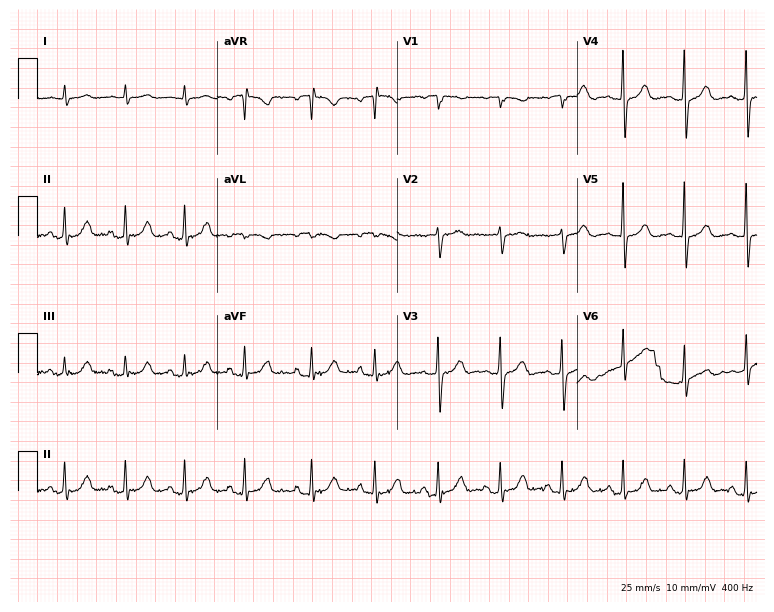
Standard 12-lead ECG recorded from a 79-year-old male (7.3-second recording at 400 Hz). None of these six findings is recorded: first-degree AV block, right bundle branch block (RBBB), left bundle branch block (LBBB), sinus bradycardia, atrial fibrillation (AF), sinus tachycardia. Only these six findings were labelled.